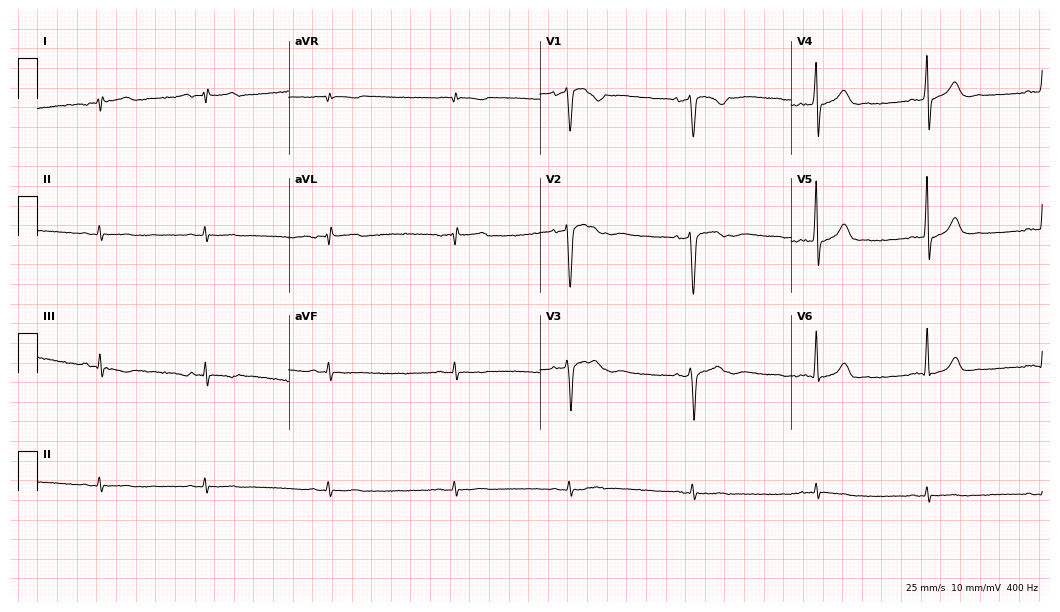
12-lead ECG from a female, 40 years old. No first-degree AV block, right bundle branch block, left bundle branch block, sinus bradycardia, atrial fibrillation or sinus tachycardia recorded for this tracing.